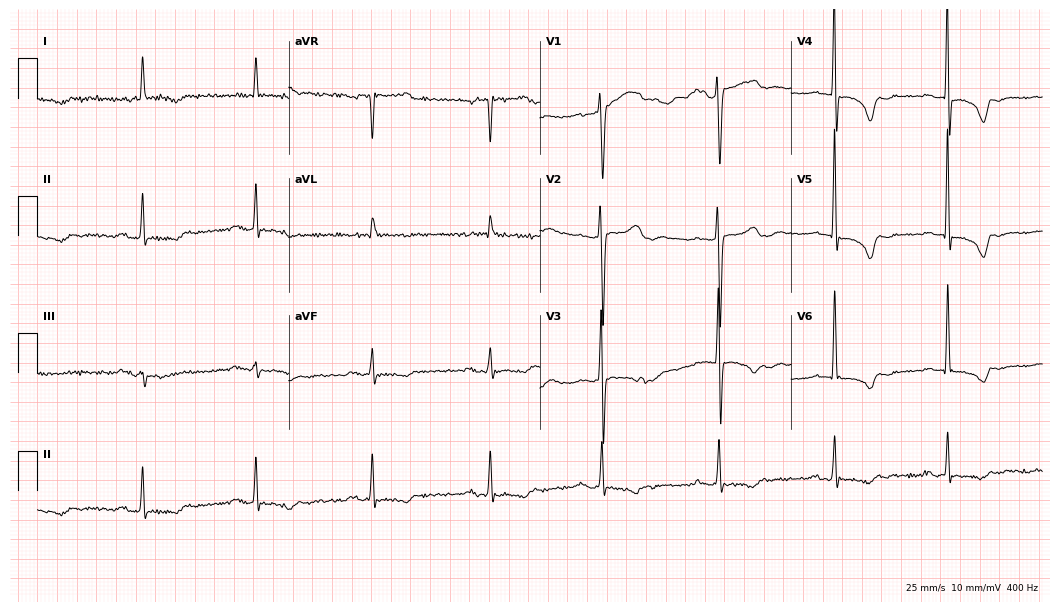
12-lead ECG from a 75-year-old female patient. Findings include first-degree AV block.